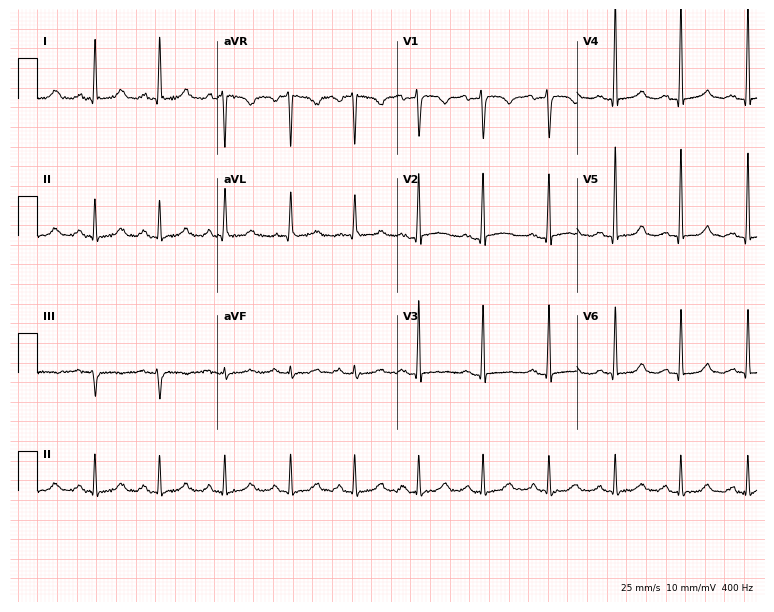
12-lead ECG from a 65-year-old female. No first-degree AV block, right bundle branch block, left bundle branch block, sinus bradycardia, atrial fibrillation or sinus tachycardia recorded for this tracing. Only these six findings were labelled.